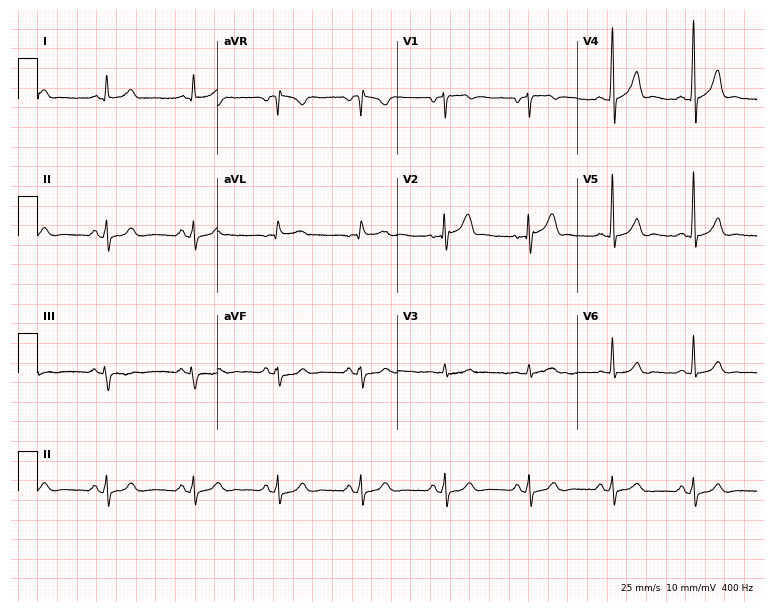
ECG — a male patient, 52 years old. Screened for six findings — first-degree AV block, right bundle branch block (RBBB), left bundle branch block (LBBB), sinus bradycardia, atrial fibrillation (AF), sinus tachycardia — none is recorded.